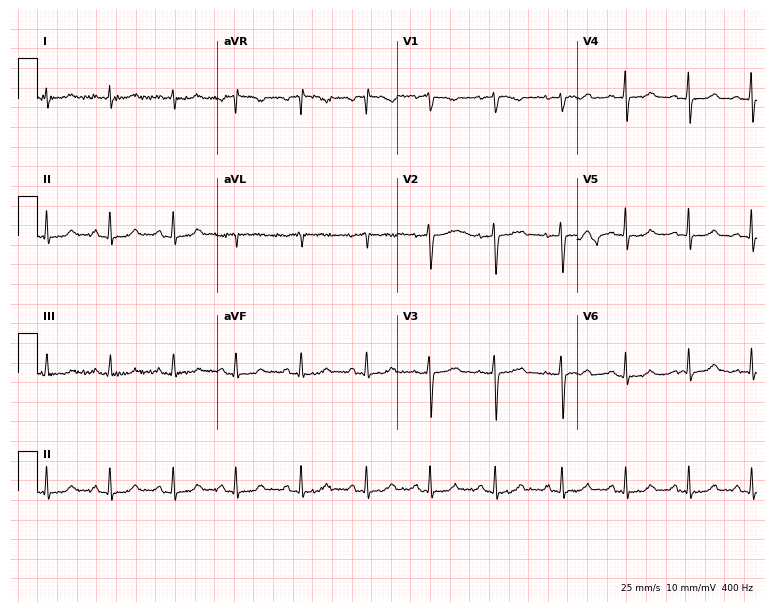
12-lead ECG (7.3-second recording at 400 Hz) from a woman, 22 years old. Labelled as a normal ECG.